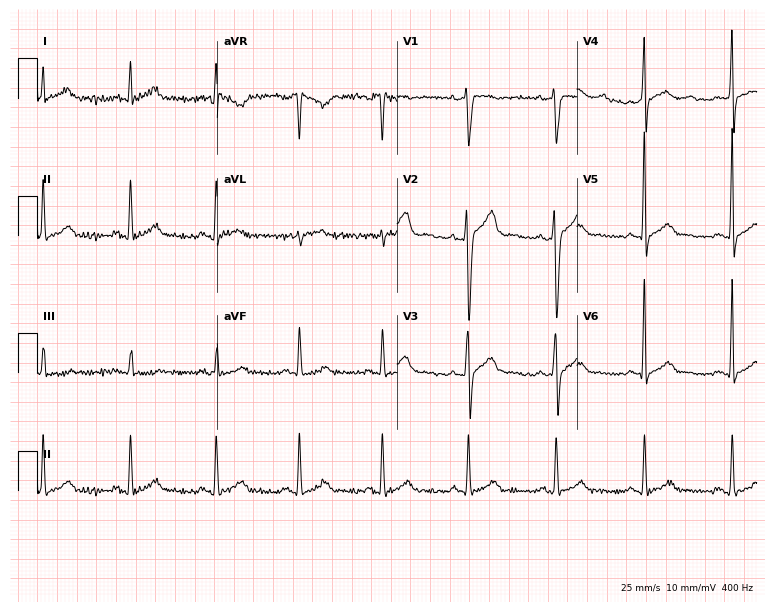
Standard 12-lead ECG recorded from a male, 35 years old. None of these six findings is recorded: first-degree AV block, right bundle branch block, left bundle branch block, sinus bradycardia, atrial fibrillation, sinus tachycardia.